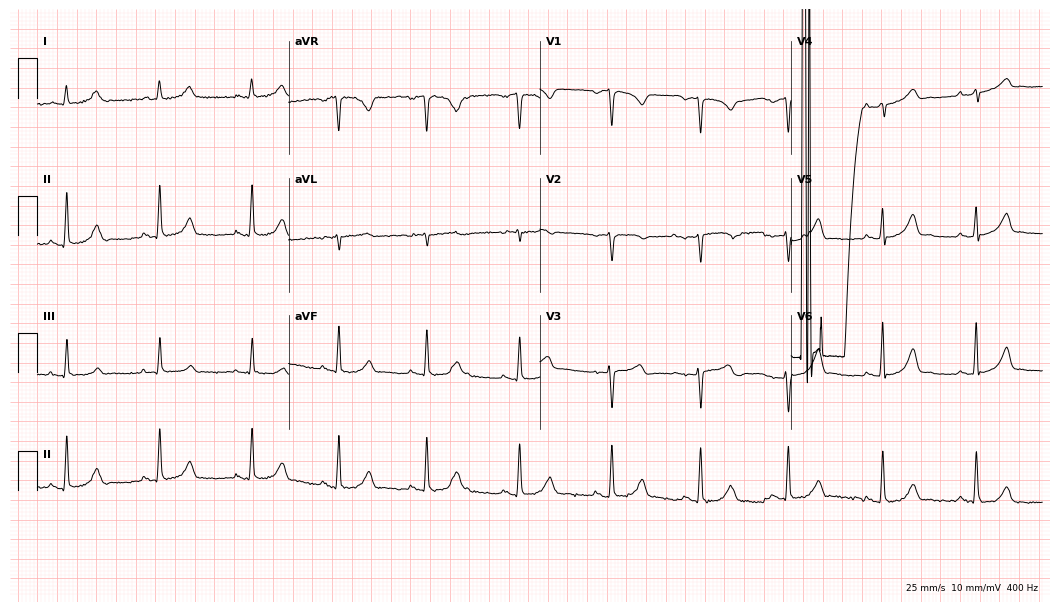
Resting 12-lead electrocardiogram (10.2-second recording at 400 Hz). Patient: a female, 60 years old. None of these six findings is recorded: first-degree AV block, right bundle branch block, left bundle branch block, sinus bradycardia, atrial fibrillation, sinus tachycardia. Findings outside these six are not listed.